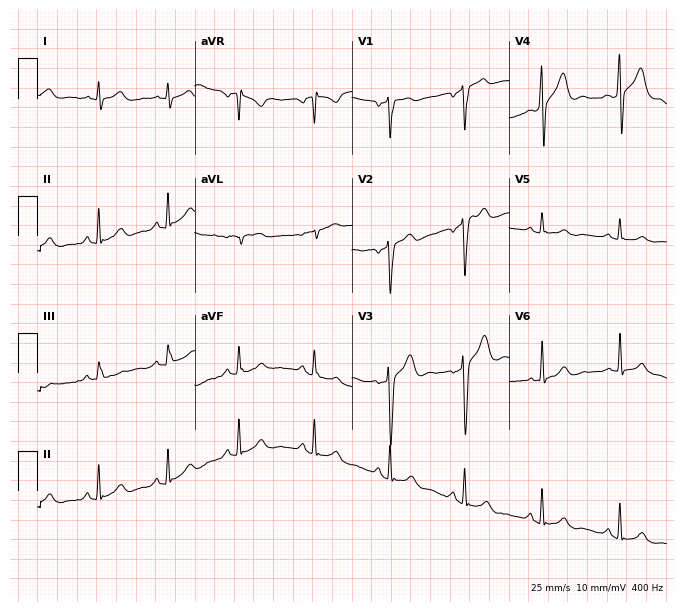
ECG — a male, 28 years old. Labelled as a normal ECG.